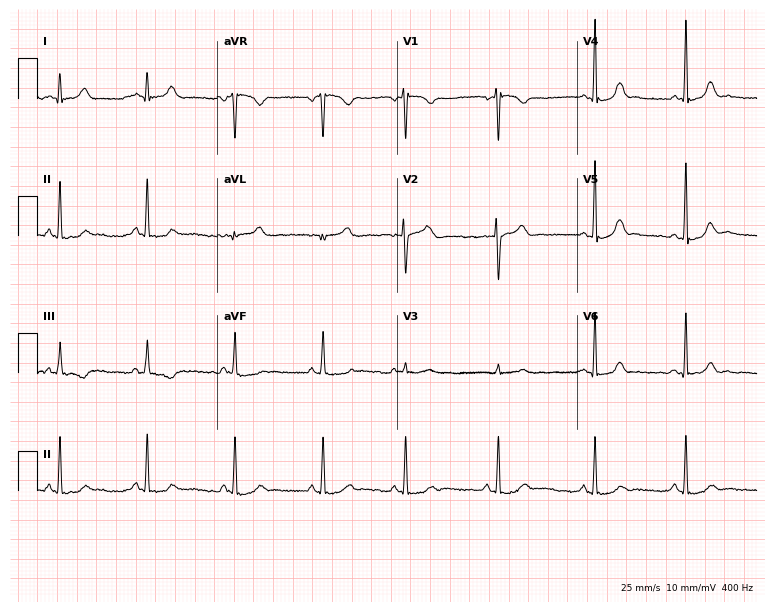
Standard 12-lead ECG recorded from a 20-year-old female patient. None of these six findings is recorded: first-degree AV block, right bundle branch block, left bundle branch block, sinus bradycardia, atrial fibrillation, sinus tachycardia. Other findings, if any, are not listed.